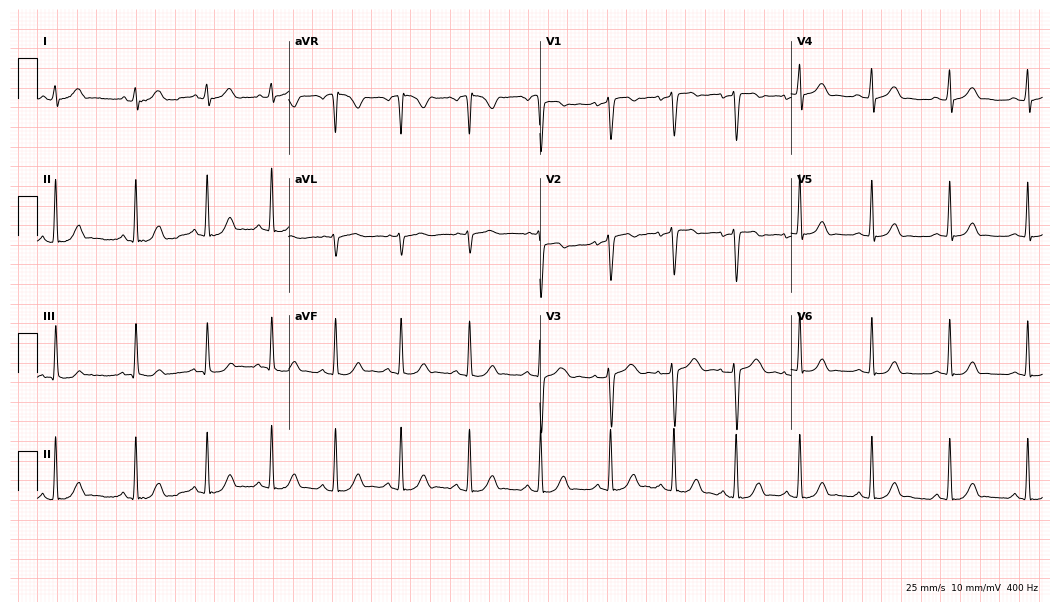
12-lead ECG from a female patient, 17 years old (10.2-second recording at 400 Hz). No first-degree AV block, right bundle branch block, left bundle branch block, sinus bradycardia, atrial fibrillation or sinus tachycardia recorded for this tracing.